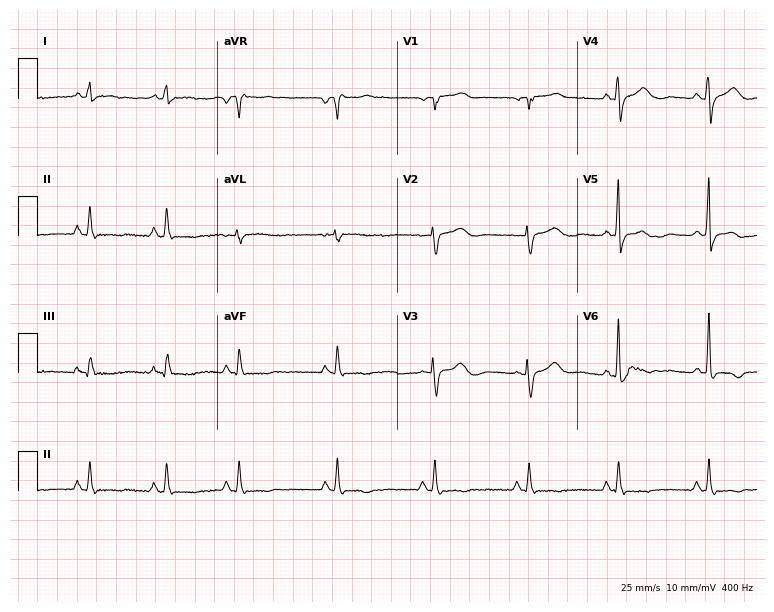
Standard 12-lead ECG recorded from a 76-year-old female patient. Read as a normal ECG.